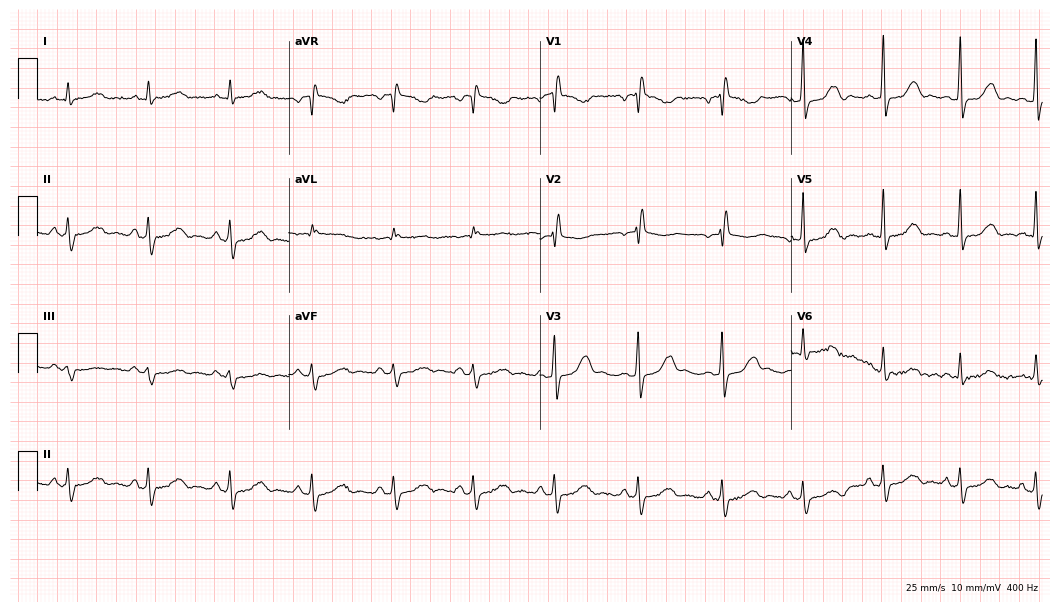
Resting 12-lead electrocardiogram. Patient: a 45-year-old female. The tracing shows right bundle branch block.